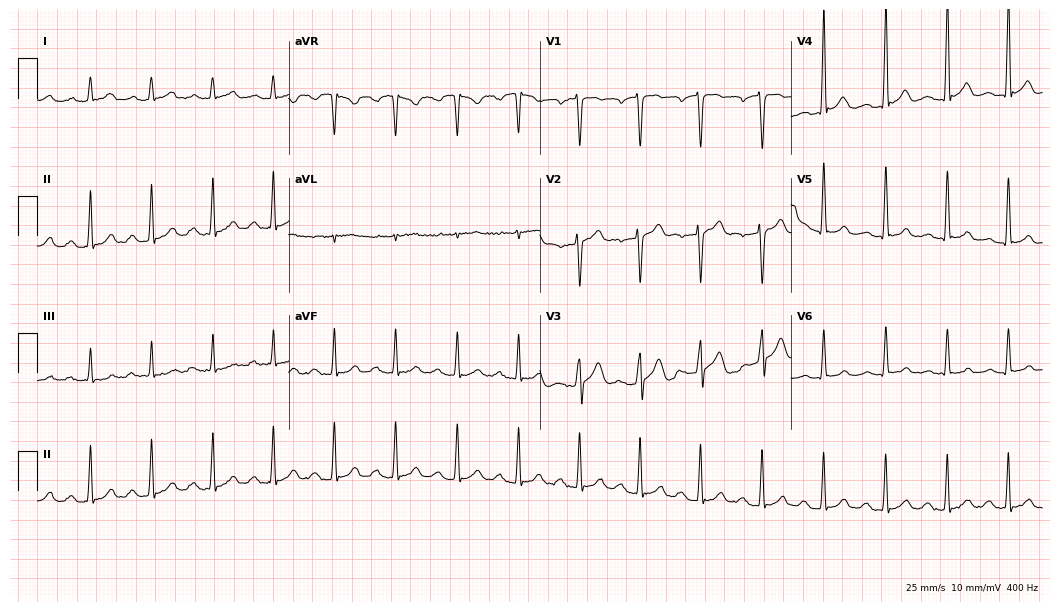
Standard 12-lead ECG recorded from a male, 39 years old (10.2-second recording at 400 Hz). The tracing shows first-degree AV block.